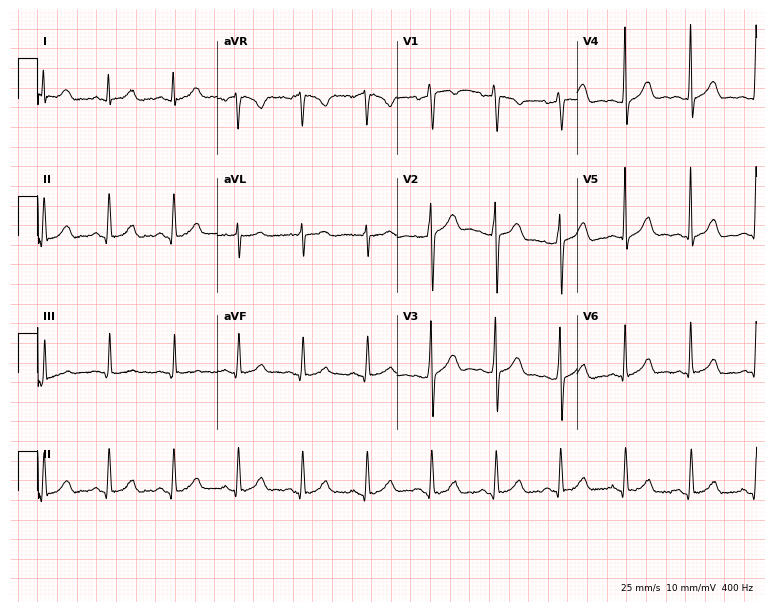
12-lead ECG from a 38-year-old man. Recorded interpretation: within normal limits.